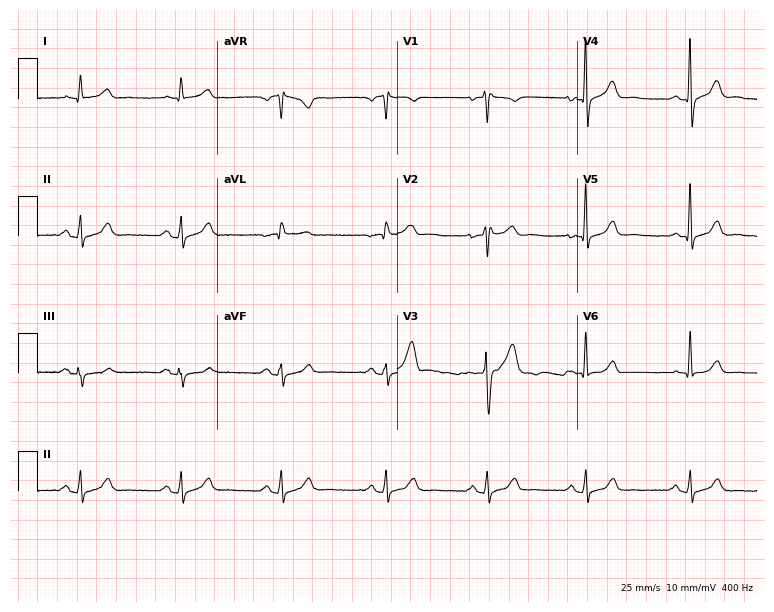
ECG (7.3-second recording at 400 Hz) — a male, 42 years old. Screened for six findings — first-degree AV block, right bundle branch block, left bundle branch block, sinus bradycardia, atrial fibrillation, sinus tachycardia — none is recorded. Findings outside these six are not listed.